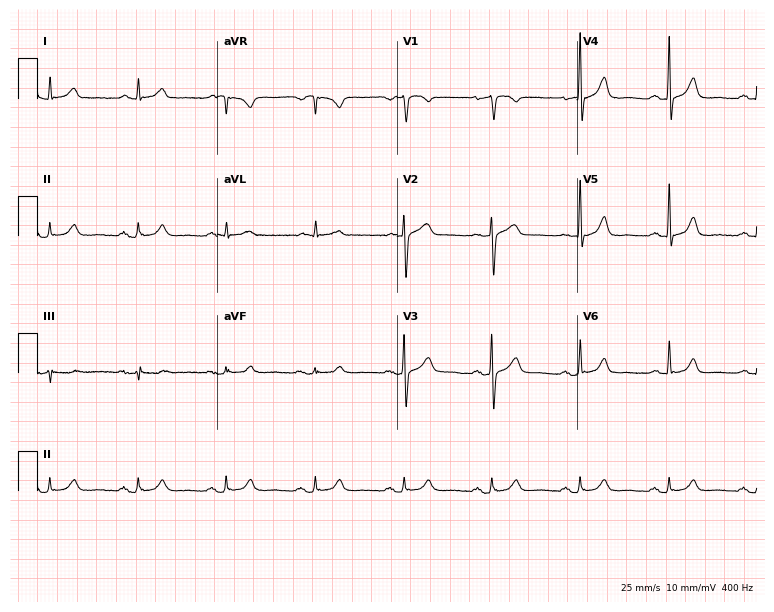
Electrocardiogram, a 77-year-old male. Overall reading on record: normal ECG.